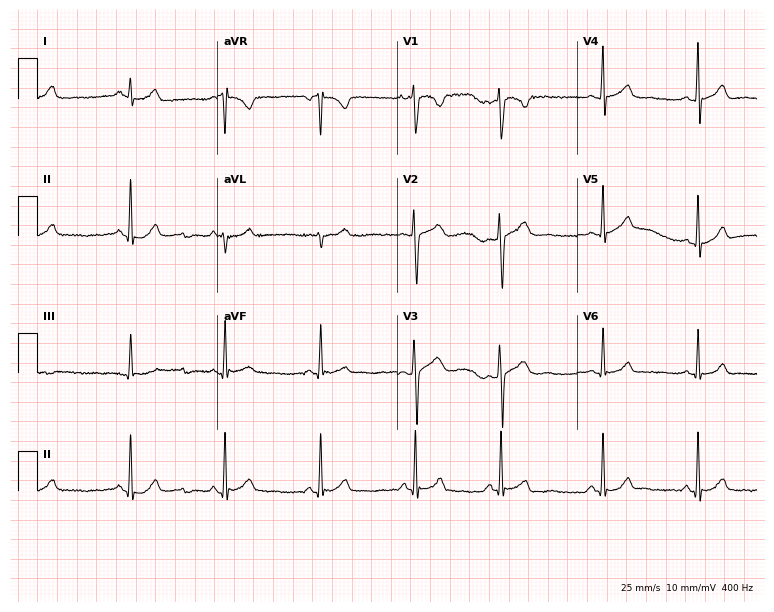
Standard 12-lead ECG recorded from a woman, 18 years old. None of these six findings is recorded: first-degree AV block, right bundle branch block (RBBB), left bundle branch block (LBBB), sinus bradycardia, atrial fibrillation (AF), sinus tachycardia. Only these six findings were labelled.